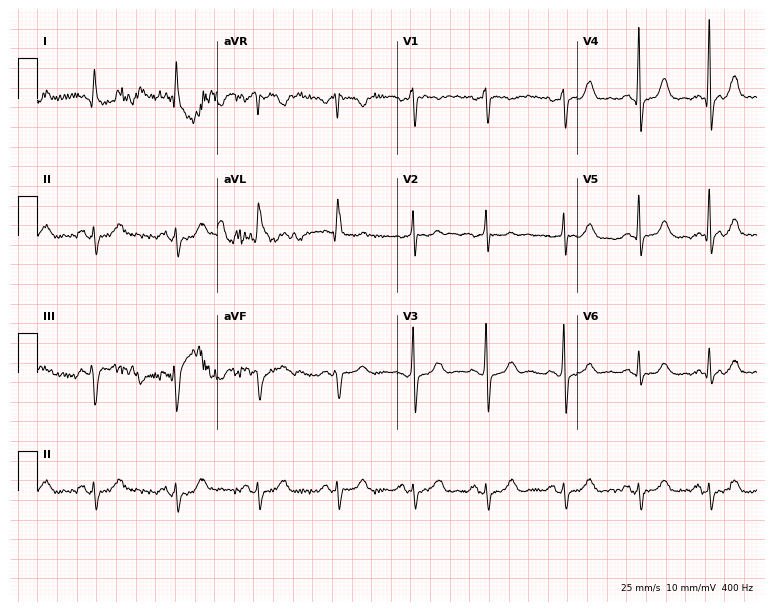
12-lead ECG (7.3-second recording at 400 Hz) from a female, 58 years old. Screened for six findings — first-degree AV block, right bundle branch block, left bundle branch block, sinus bradycardia, atrial fibrillation, sinus tachycardia — none is recorded. Only these six findings were labelled.